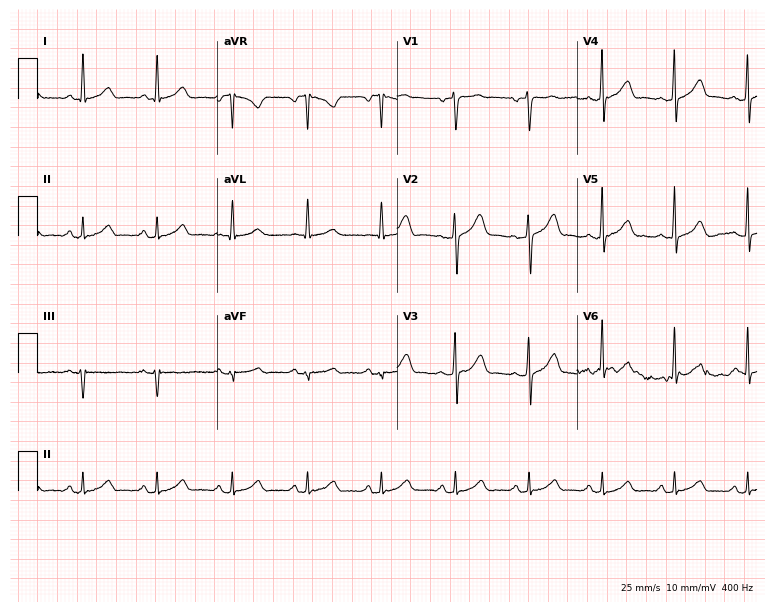
Resting 12-lead electrocardiogram. Patient: a man, 38 years old. Read as a normal ECG.